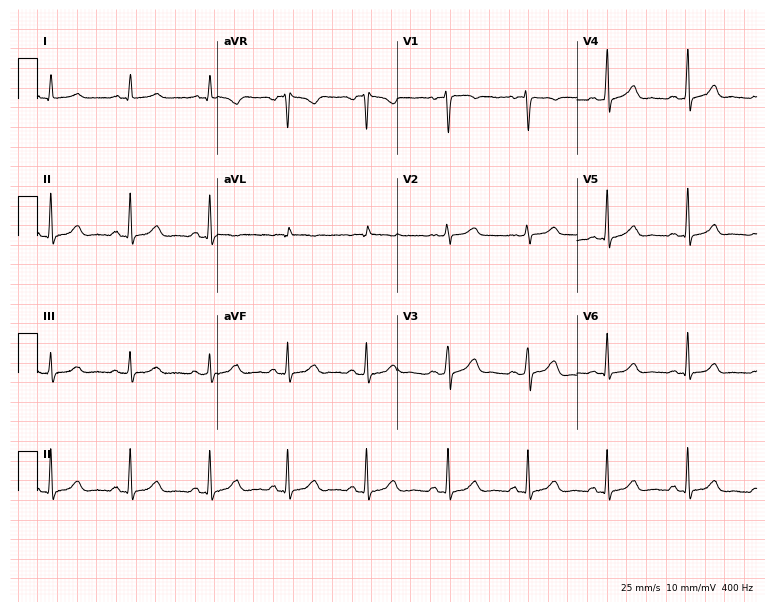
Standard 12-lead ECG recorded from a female, 38 years old (7.3-second recording at 400 Hz). None of these six findings is recorded: first-degree AV block, right bundle branch block (RBBB), left bundle branch block (LBBB), sinus bradycardia, atrial fibrillation (AF), sinus tachycardia.